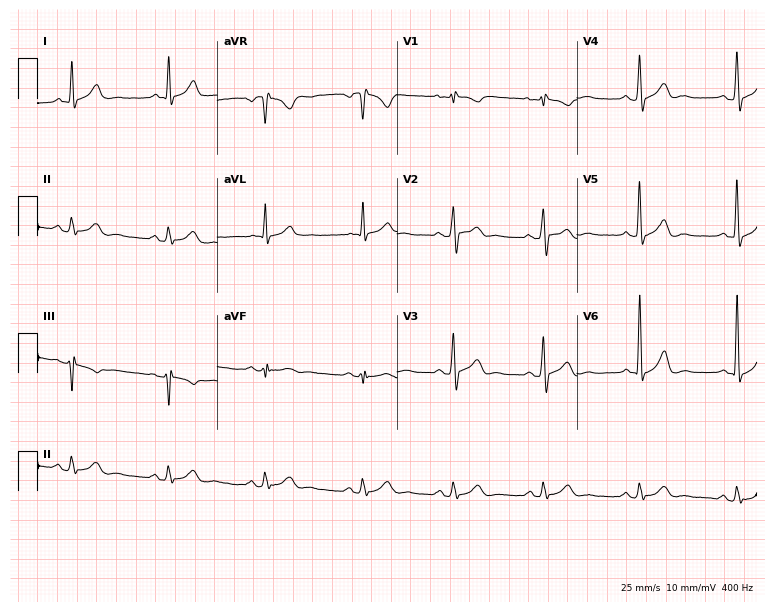
ECG — a 65-year-old man. Screened for six findings — first-degree AV block, right bundle branch block (RBBB), left bundle branch block (LBBB), sinus bradycardia, atrial fibrillation (AF), sinus tachycardia — none is recorded. Findings outside these six are not listed.